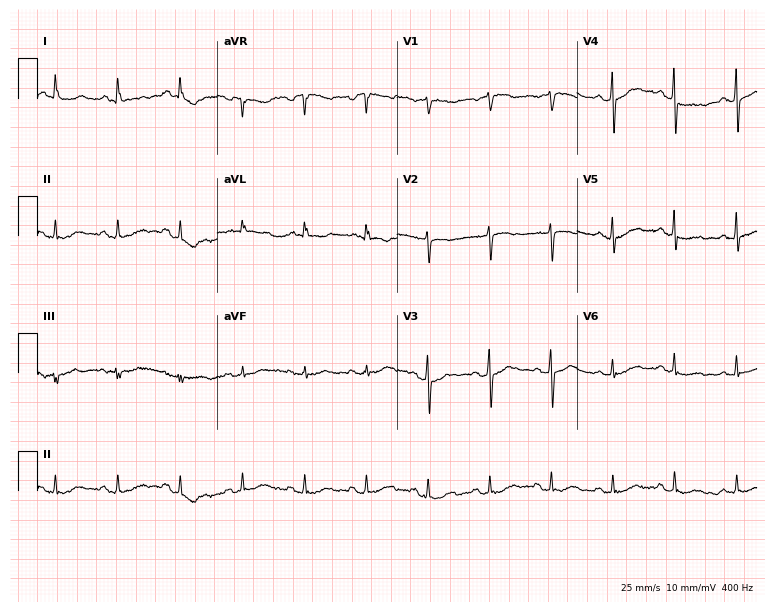
Electrocardiogram, a female patient, 77 years old. Of the six screened findings (first-degree AV block, right bundle branch block, left bundle branch block, sinus bradycardia, atrial fibrillation, sinus tachycardia), none is recorded.